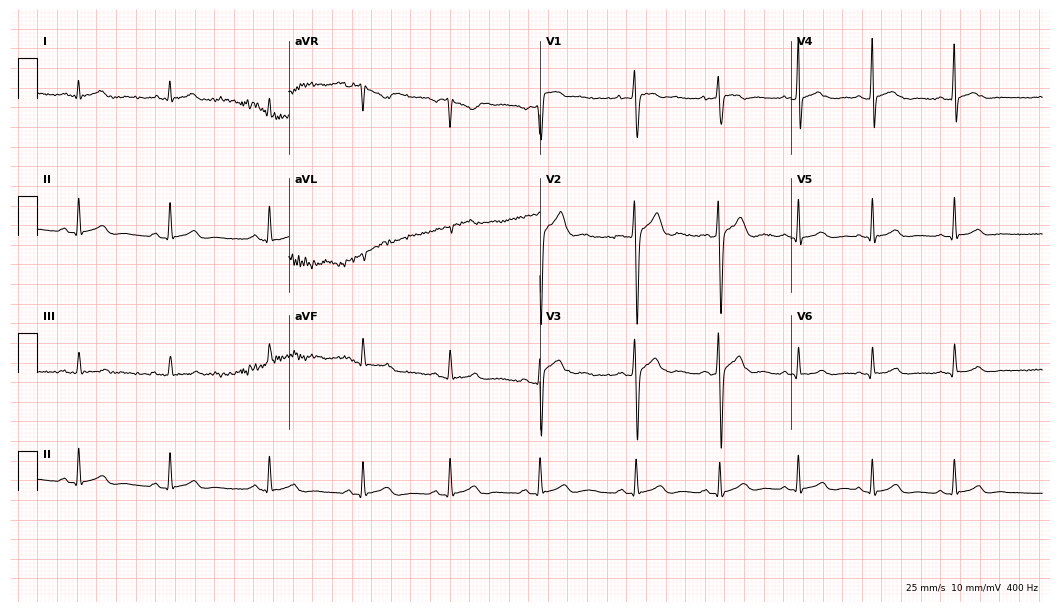
12-lead ECG from a male patient, 22 years old (10.2-second recording at 400 Hz). Recorded interpretation: within normal limits.